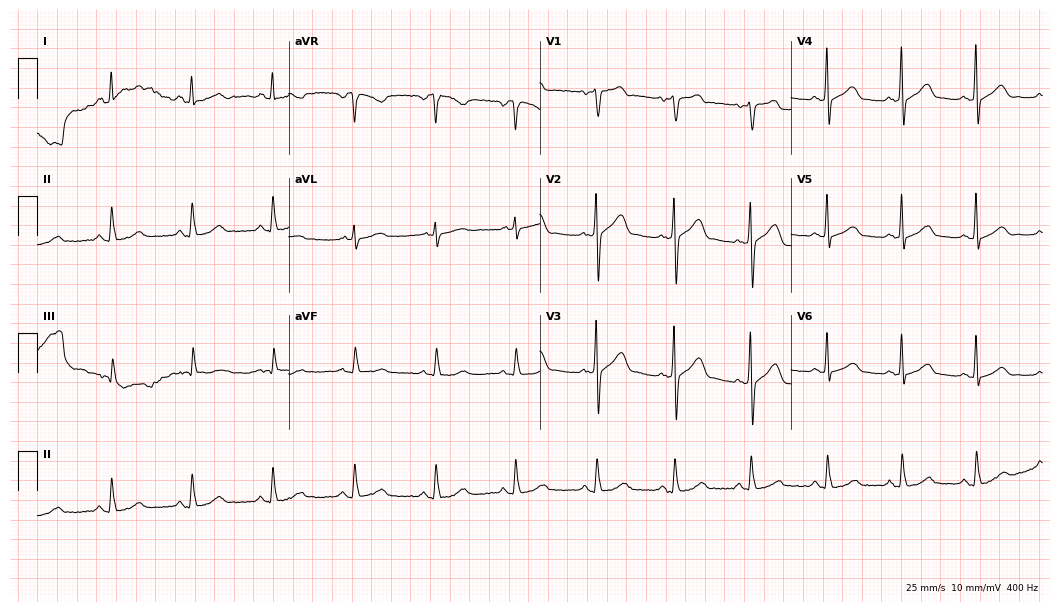
Electrocardiogram (10.2-second recording at 400 Hz), a woman, 43 years old. Overall reading on record: normal ECG.